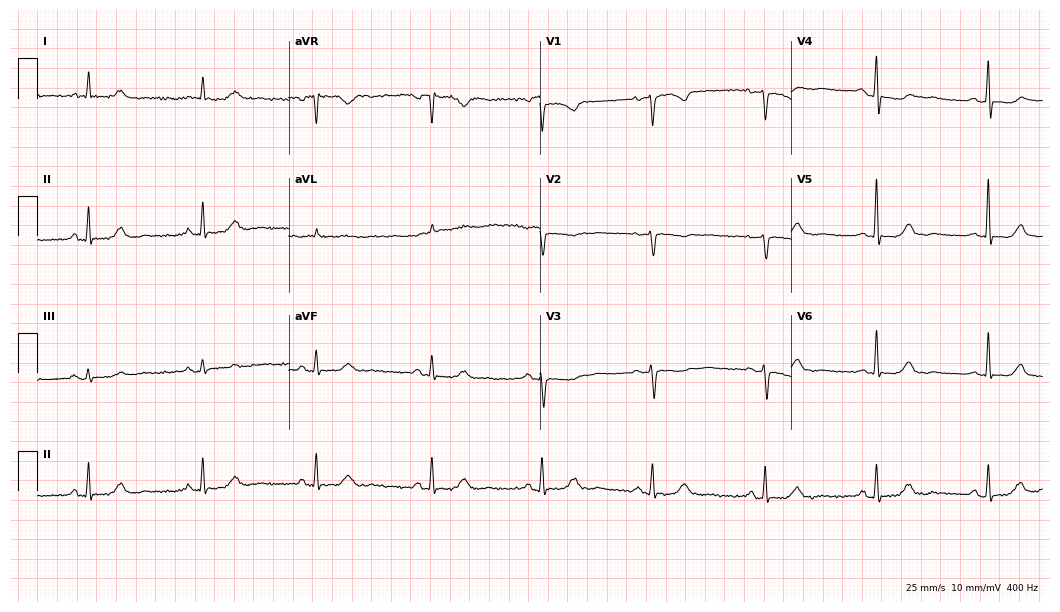
ECG — a woman, 65 years old. Screened for six findings — first-degree AV block, right bundle branch block, left bundle branch block, sinus bradycardia, atrial fibrillation, sinus tachycardia — none is recorded. Findings outside these six are not listed.